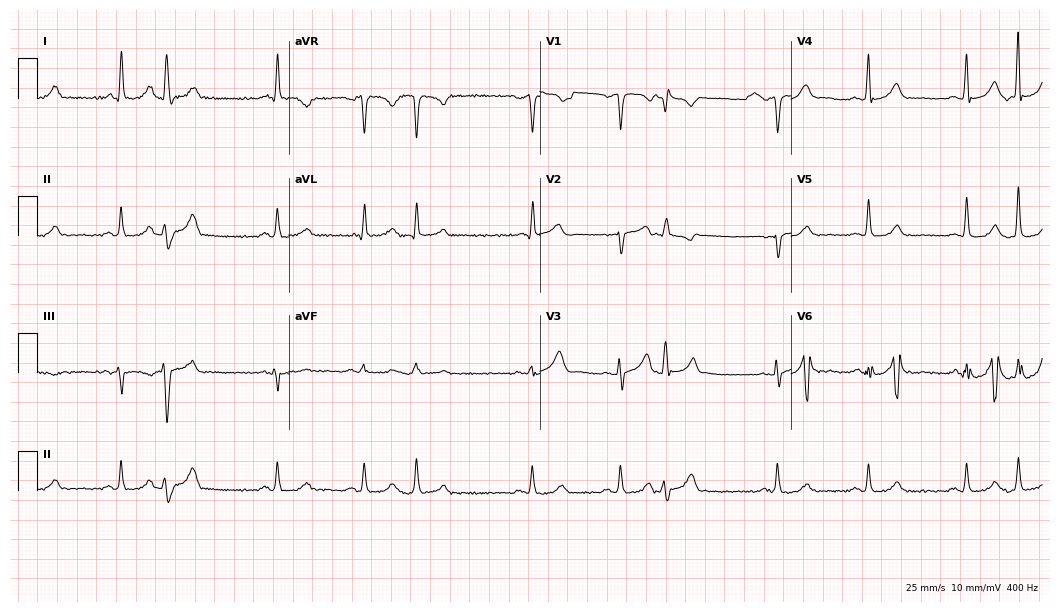
12-lead ECG from a man, 63 years old (10.2-second recording at 400 Hz). Recorded interpretation: within normal limits.